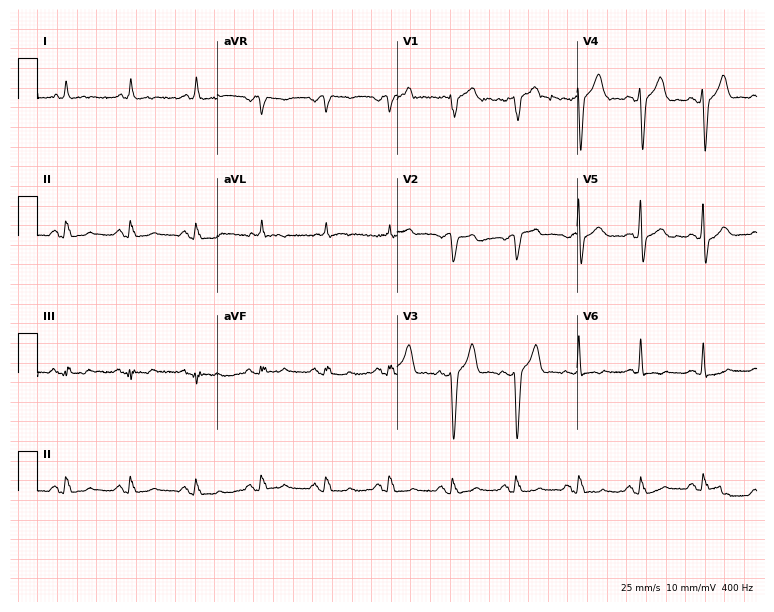
Standard 12-lead ECG recorded from a male patient, 67 years old (7.3-second recording at 400 Hz). None of these six findings is recorded: first-degree AV block, right bundle branch block (RBBB), left bundle branch block (LBBB), sinus bradycardia, atrial fibrillation (AF), sinus tachycardia.